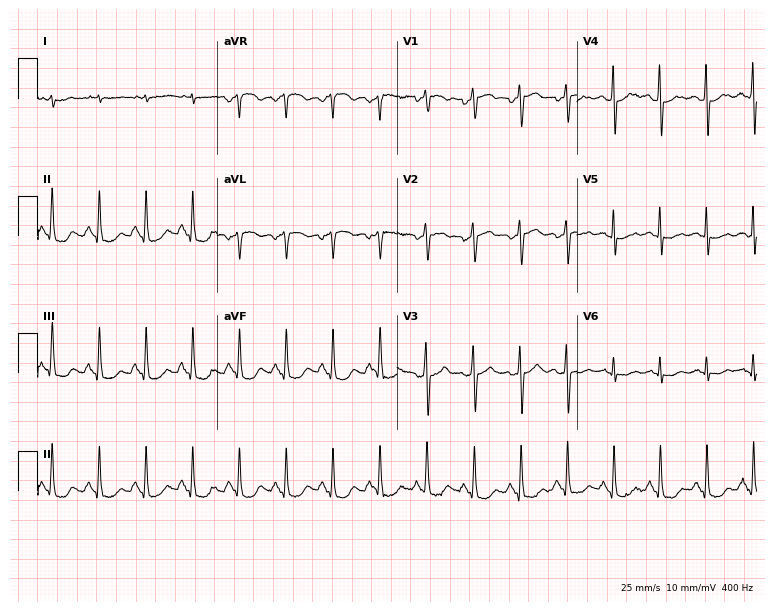
Resting 12-lead electrocardiogram (7.3-second recording at 400 Hz). Patient: a male, 79 years old. The tracing shows sinus tachycardia (a sinus rate of 100 beats per minute or more).